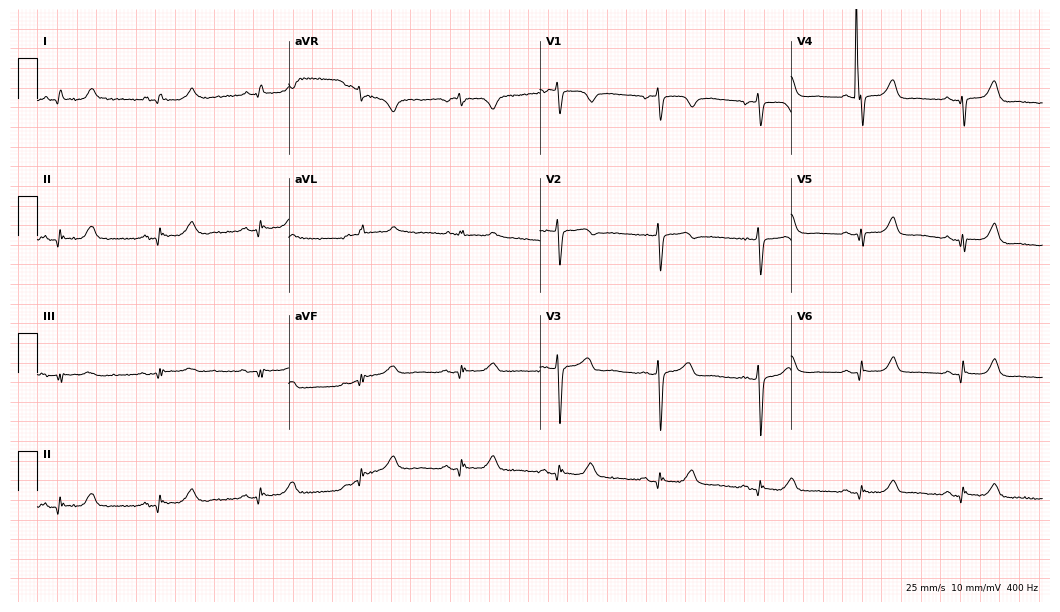
ECG — a woman, 62 years old. Screened for six findings — first-degree AV block, right bundle branch block (RBBB), left bundle branch block (LBBB), sinus bradycardia, atrial fibrillation (AF), sinus tachycardia — none is recorded.